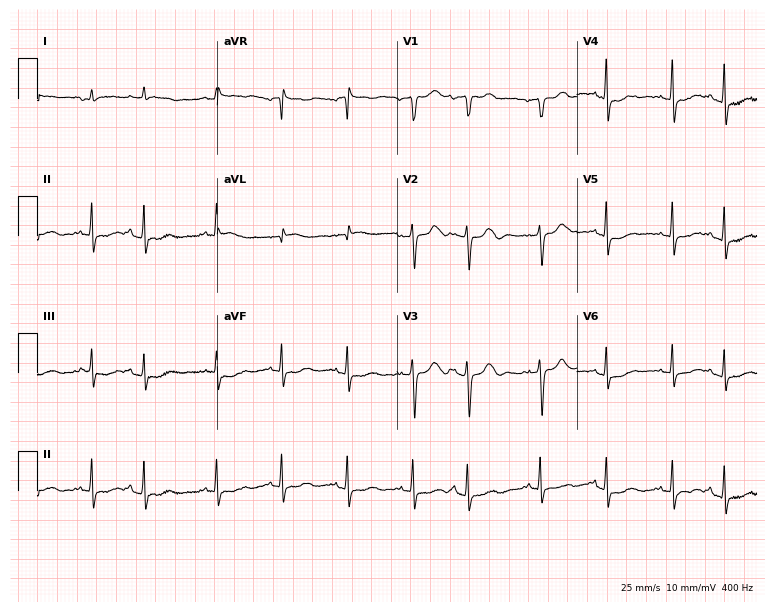
Resting 12-lead electrocardiogram. Patient: a woman, 71 years old. None of these six findings is recorded: first-degree AV block, right bundle branch block, left bundle branch block, sinus bradycardia, atrial fibrillation, sinus tachycardia.